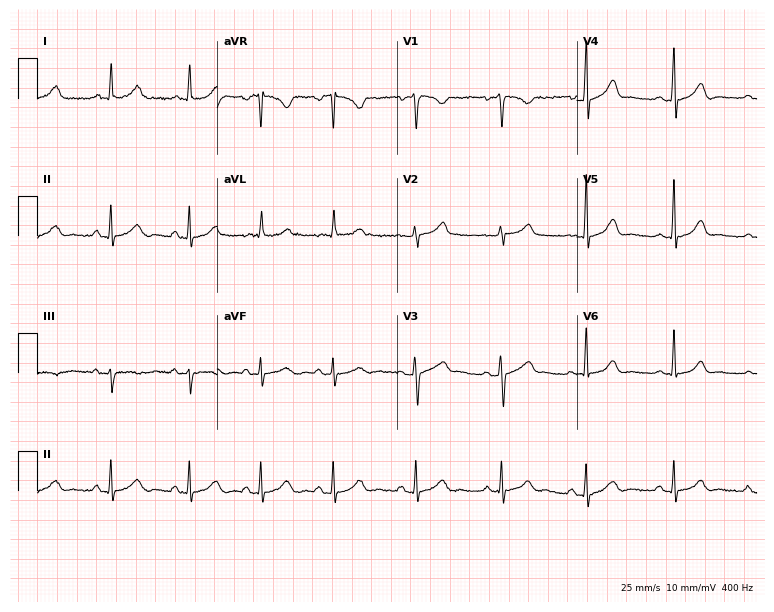
Standard 12-lead ECG recorded from a 42-year-old female patient (7.3-second recording at 400 Hz). Read as a normal ECG.